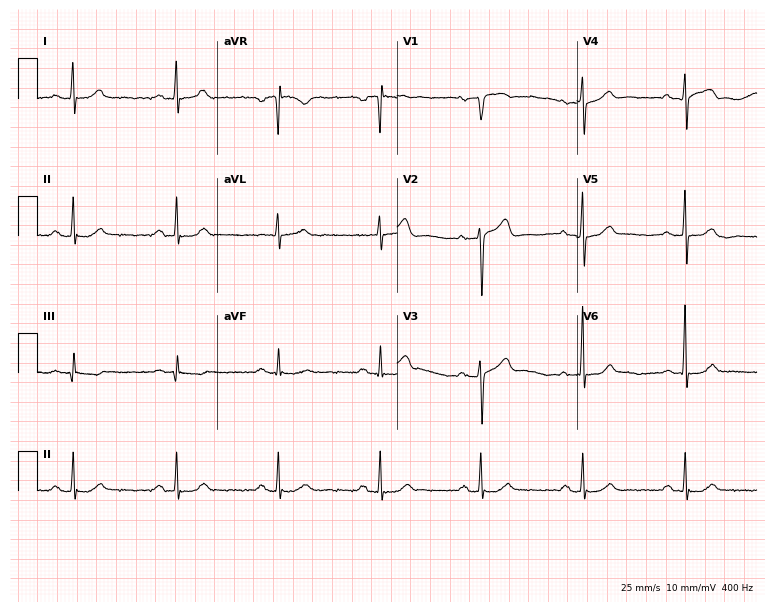
Electrocardiogram (7.3-second recording at 400 Hz), a 58-year-old male. Of the six screened findings (first-degree AV block, right bundle branch block, left bundle branch block, sinus bradycardia, atrial fibrillation, sinus tachycardia), none is recorded.